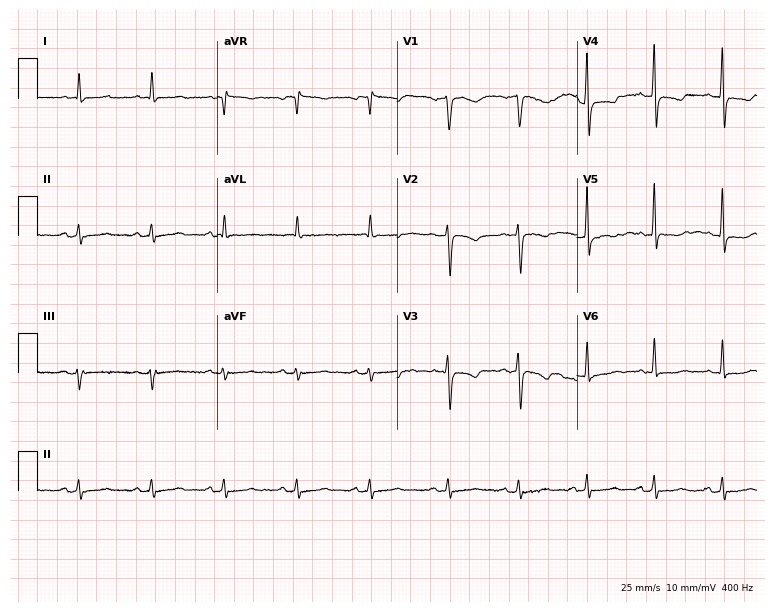
12-lead ECG from a female patient, 64 years old (7.3-second recording at 400 Hz). No first-degree AV block, right bundle branch block, left bundle branch block, sinus bradycardia, atrial fibrillation or sinus tachycardia recorded for this tracing.